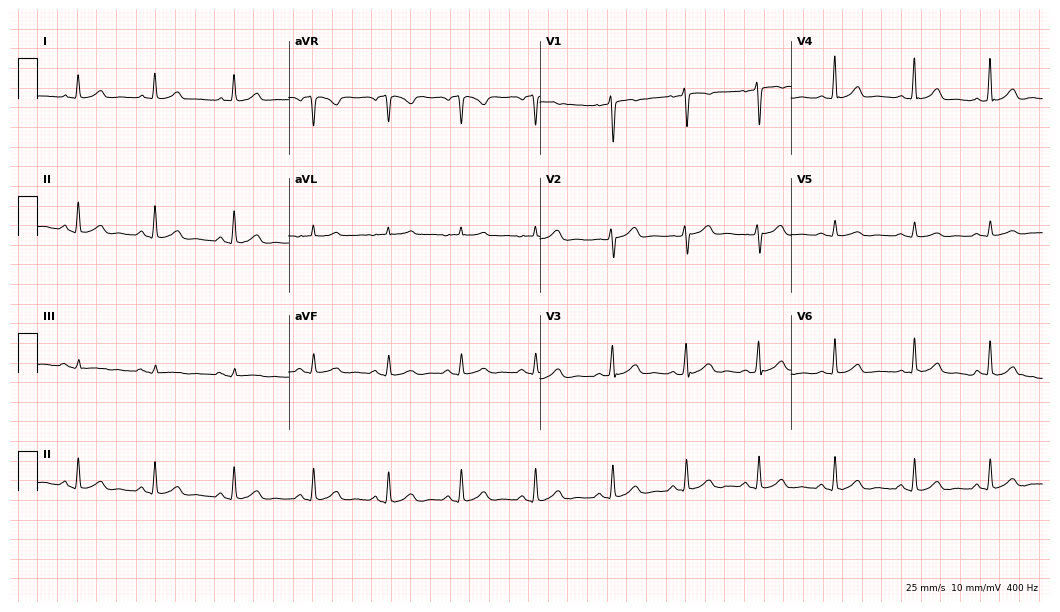
12-lead ECG from a 36-year-old woman. Recorded interpretation: within normal limits.